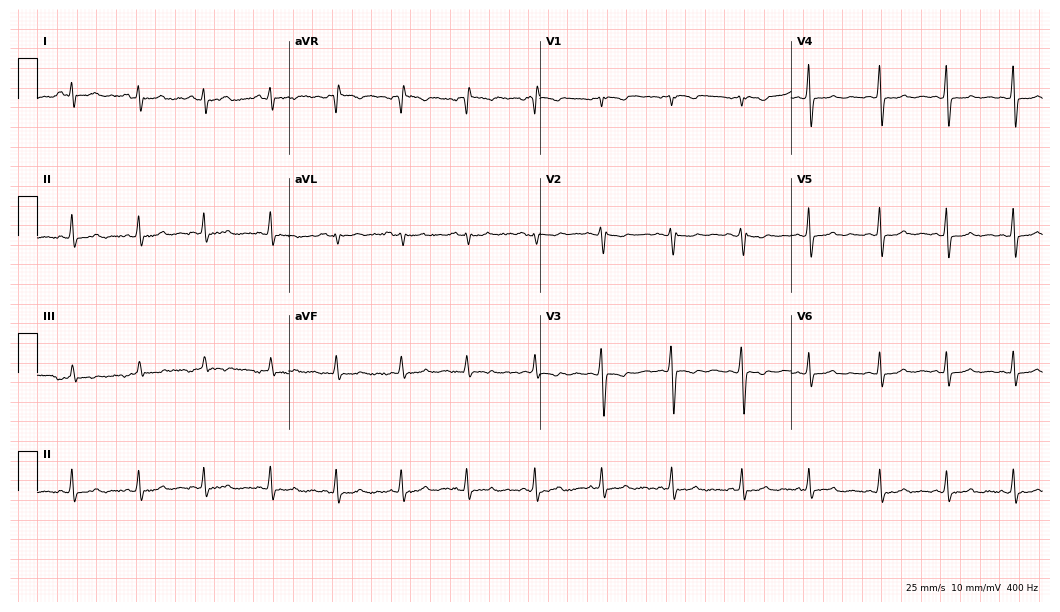
Electrocardiogram (10.2-second recording at 400 Hz), a woman, 19 years old. Of the six screened findings (first-degree AV block, right bundle branch block, left bundle branch block, sinus bradycardia, atrial fibrillation, sinus tachycardia), none is recorded. Findings outside these six are not listed.